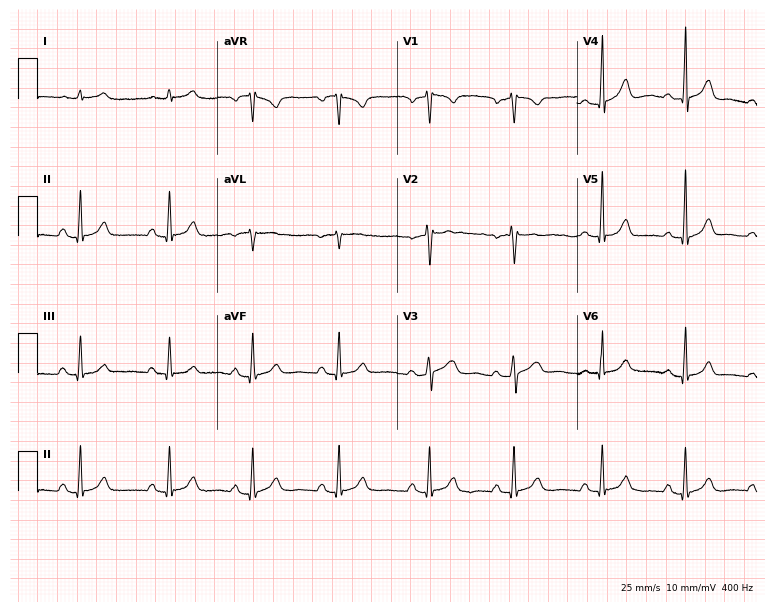
12-lead ECG from a 52-year-old female patient. Labelled as a normal ECG.